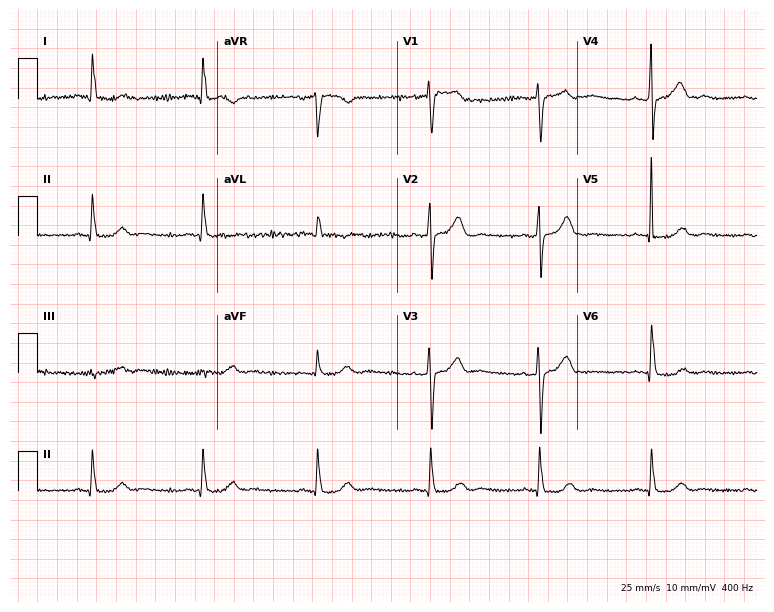
12-lead ECG from a woman, 59 years old (7.3-second recording at 400 Hz). Recorded interpretation: within normal limits.